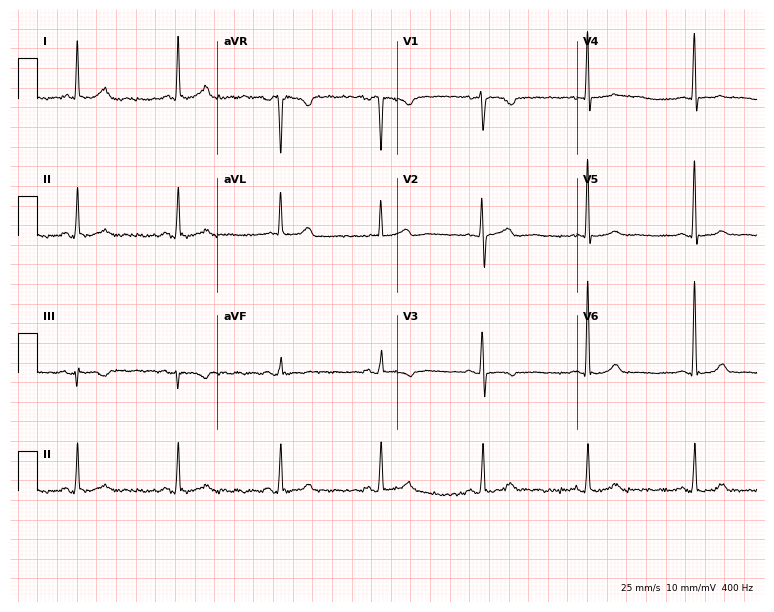
Resting 12-lead electrocardiogram. Patient: a 55-year-old female. Read as a normal ECG.